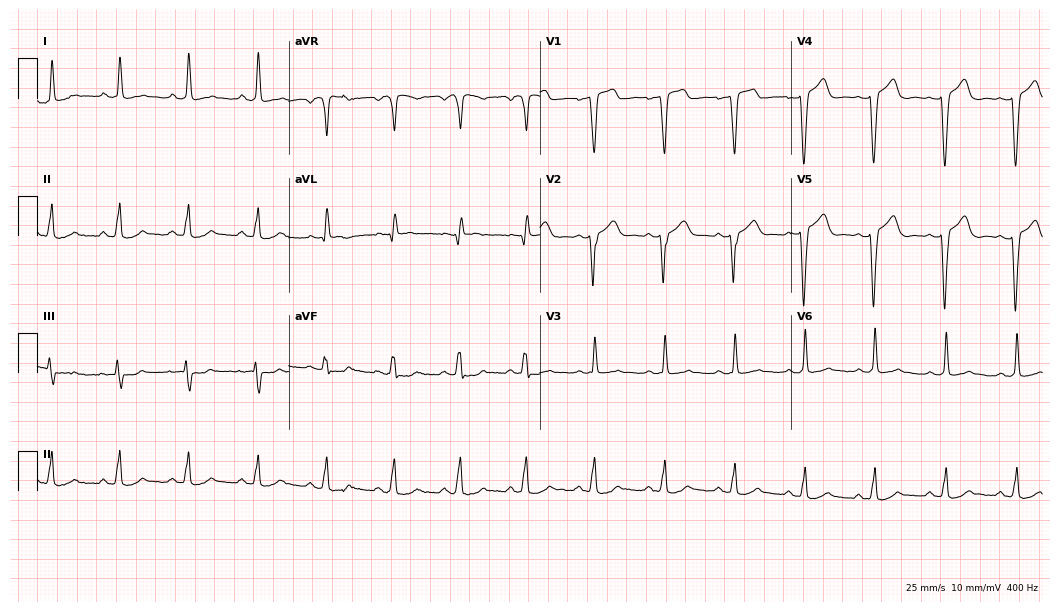
12-lead ECG from a 45-year-old female. No first-degree AV block, right bundle branch block, left bundle branch block, sinus bradycardia, atrial fibrillation or sinus tachycardia recorded for this tracing.